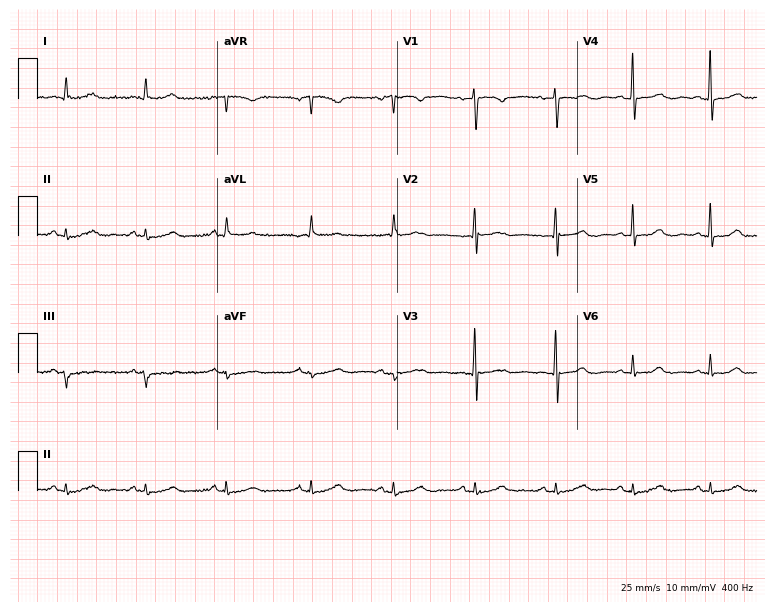
Resting 12-lead electrocardiogram. Patient: a female, 59 years old. None of these six findings is recorded: first-degree AV block, right bundle branch block, left bundle branch block, sinus bradycardia, atrial fibrillation, sinus tachycardia.